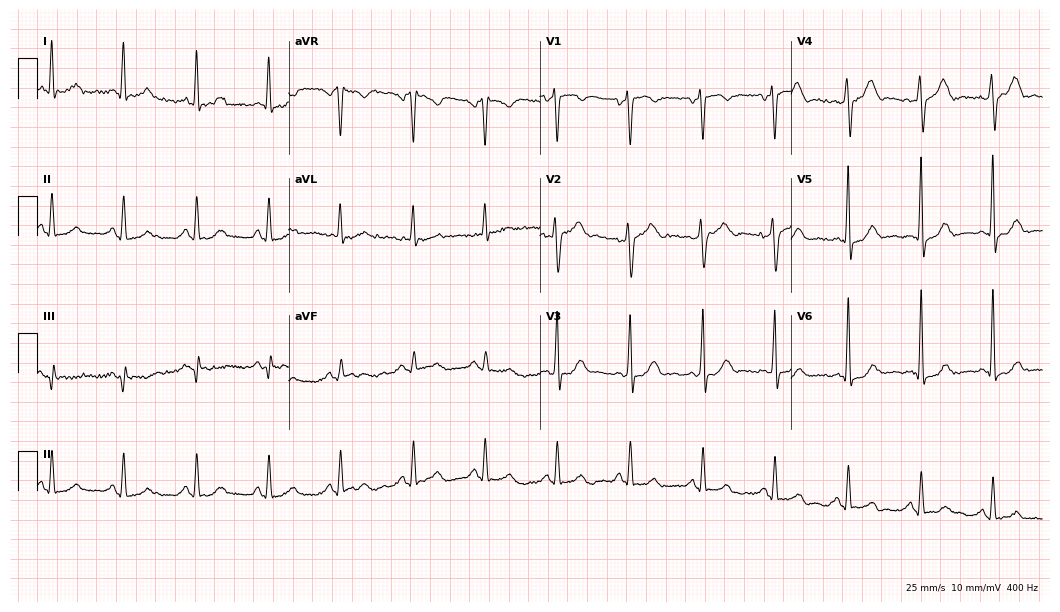
Standard 12-lead ECG recorded from a male, 52 years old (10.2-second recording at 400 Hz). None of these six findings is recorded: first-degree AV block, right bundle branch block (RBBB), left bundle branch block (LBBB), sinus bradycardia, atrial fibrillation (AF), sinus tachycardia. Other findings, if any, are not listed.